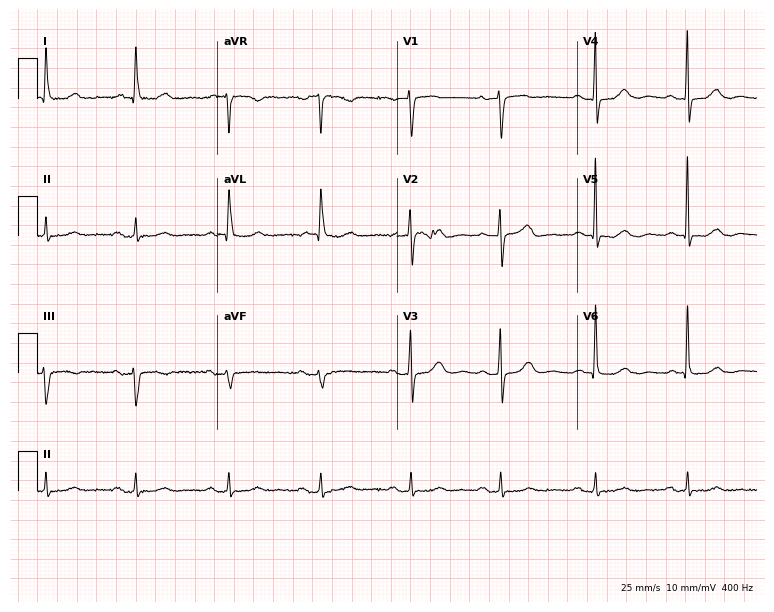
Standard 12-lead ECG recorded from an 81-year-old woman. None of these six findings is recorded: first-degree AV block, right bundle branch block (RBBB), left bundle branch block (LBBB), sinus bradycardia, atrial fibrillation (AF), sinus tachycardia. Only these six findings were labelled.